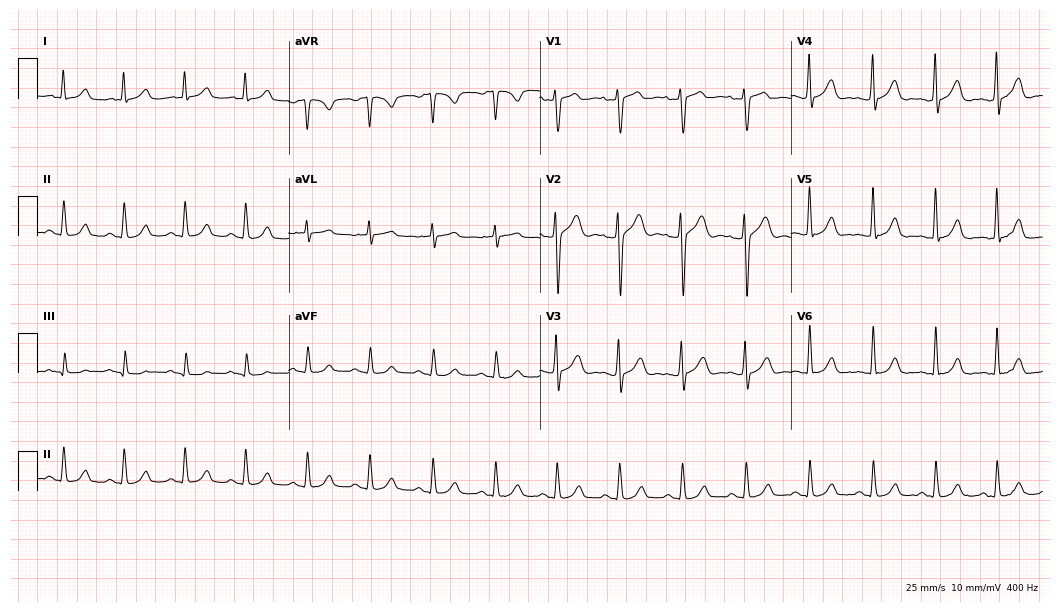
Standard 12-lead ECG recorded from a 31-year-old male. None of these six findings is recorded: first-degree AV block, right bundle branch block, left bundle branch block, sinus bradycardia, atrial fibrillation, sinus tachycardia.